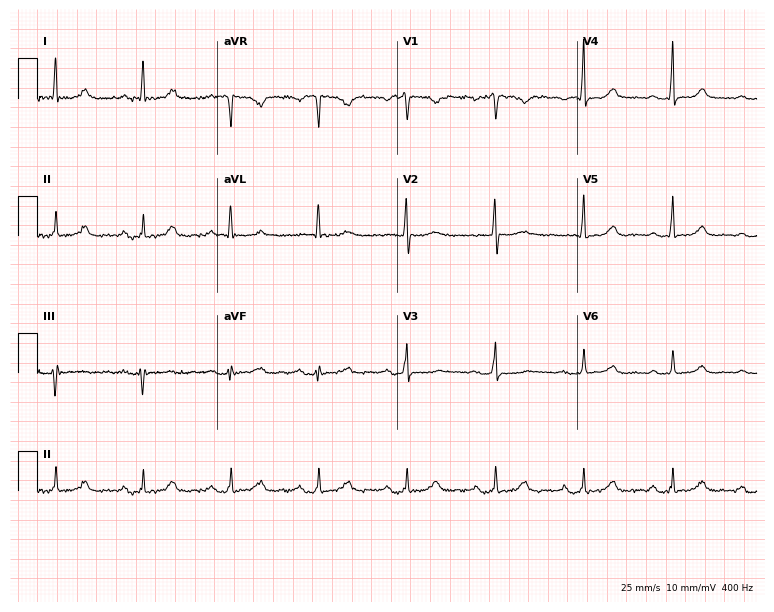
12-lead ECG (7.3-second recording at 400 Hz) from a 63-year-old woman. Labelled as a normal ECG.